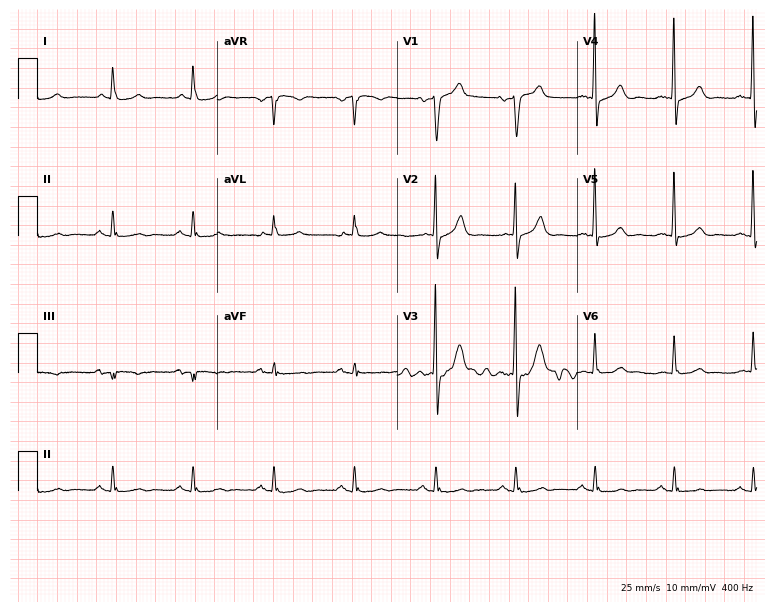
ECG — a male patient, 69 years old. Screened for six findings — first-degree AV block, right bundle branch block, left bundle branch block, sinus bradycardia, atrial fibrillation, sinus tachycardia — none is recorded.